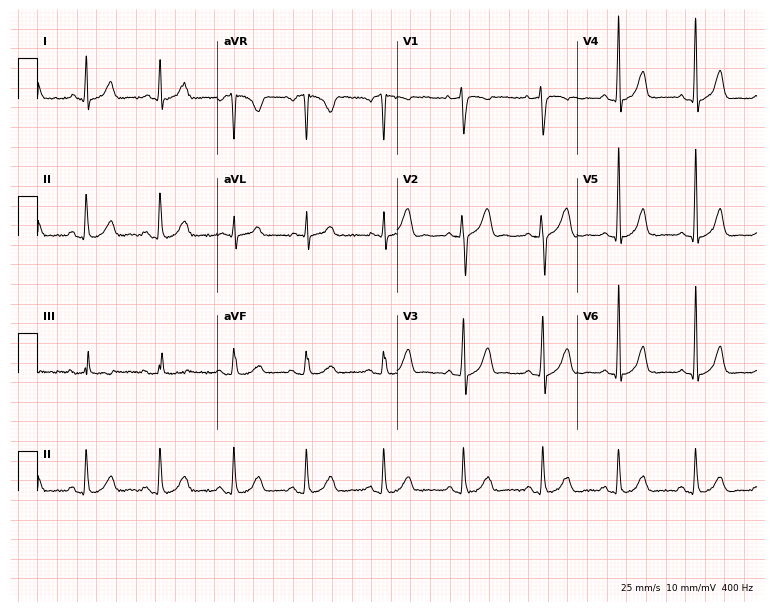
Standard 12-lead ECG recorded from a male, 37 years old. Read as a normal ECG.